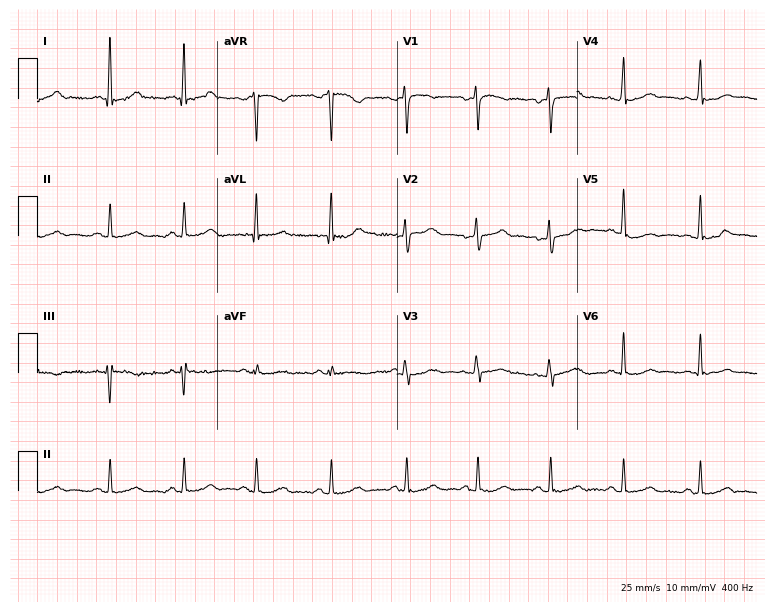
Electrocardiogram, a female, 39 years old. Overall reading on record: normal ECG.